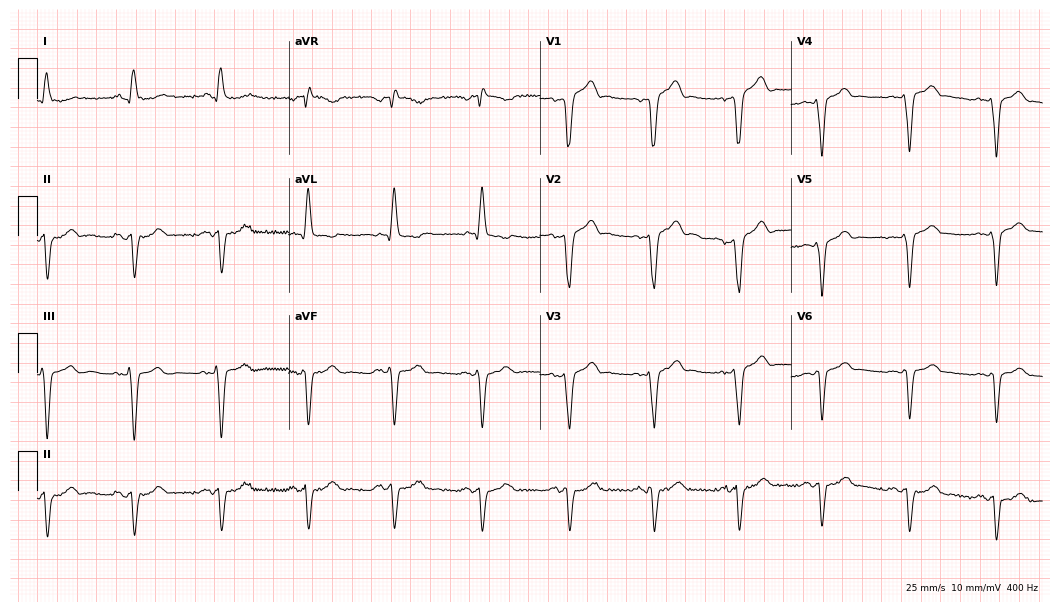
12-lead ECG from a male, 79 years old. Screened for six findings — first-degree AV block, right bundle branch block, left bundle branch block, sinus bradycardia, atrial fibrillation, sinus tachycardia — none is recorded.